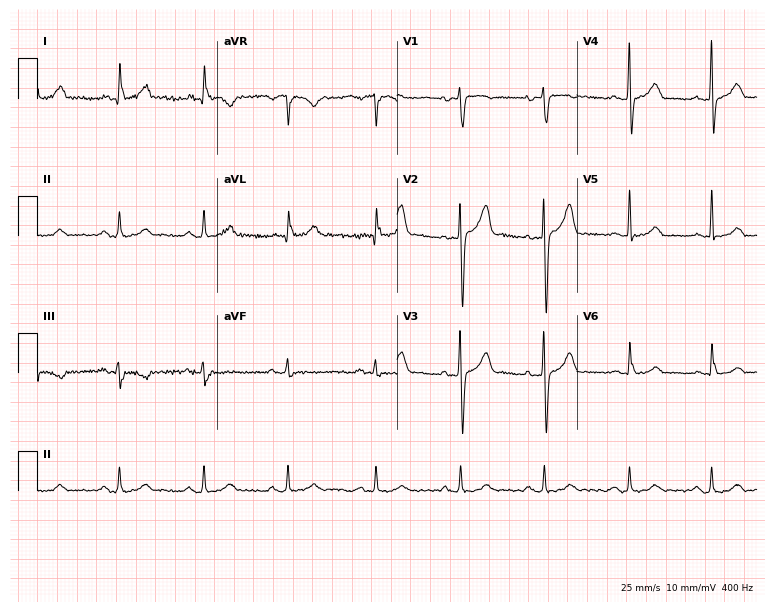
12-lead ECG from a female patient, 84 years old (7.3-second recording at 400 Hz). Recorded interpretation: within normal limits.